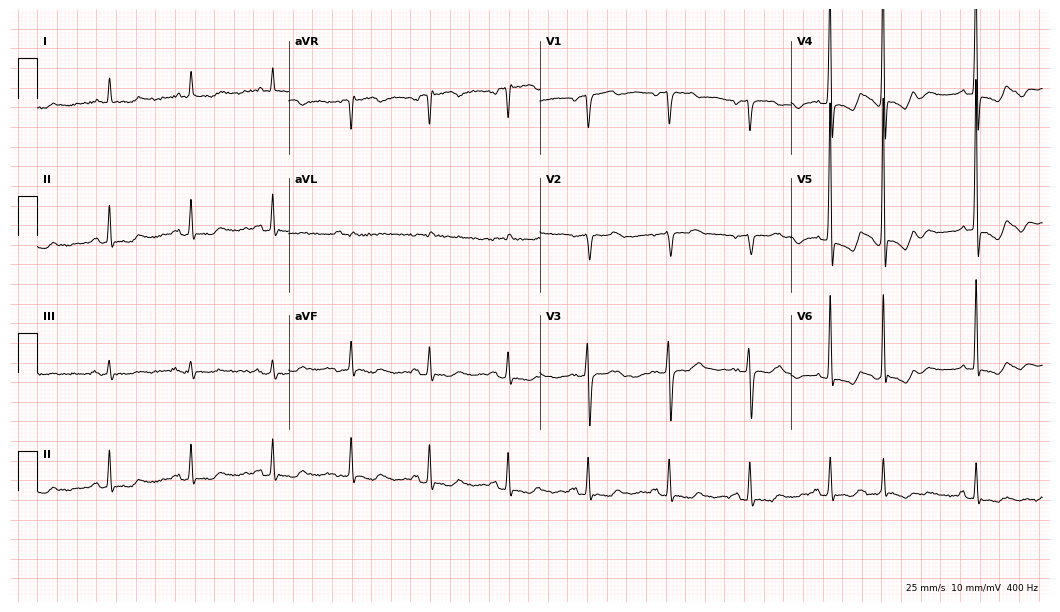
ECG (10.2-second recording at 400 Hz) — an 84-year-old female patient. Screened for six findings — first-degree AV block, right bundle branch block, left bundle branch block, sinus bradycardia, atrial fibrillation, sinus tachycardia — none is recorded.